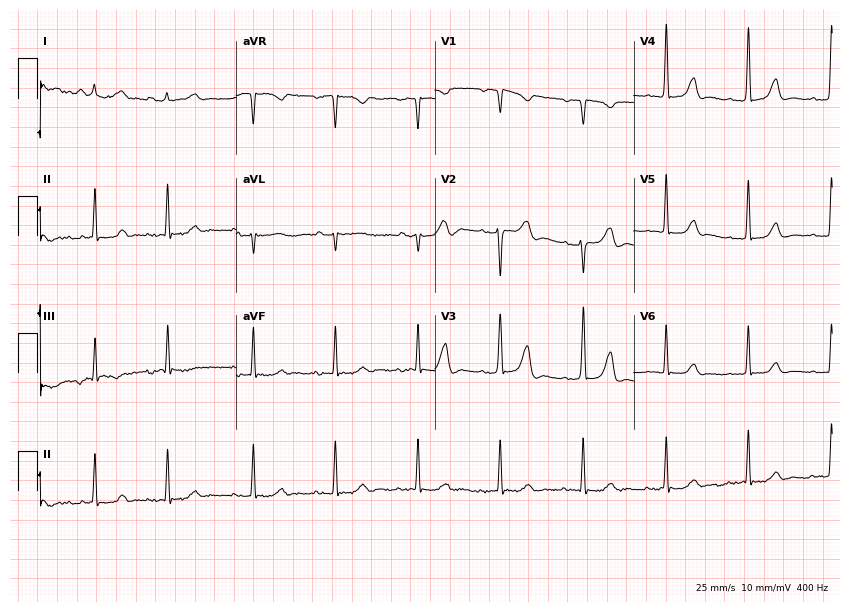
Resting 12-lead electrocardiogram (8.1-second recording at 400 Hz). Patient: a woman, 49 years old. Read as a normal ECG.